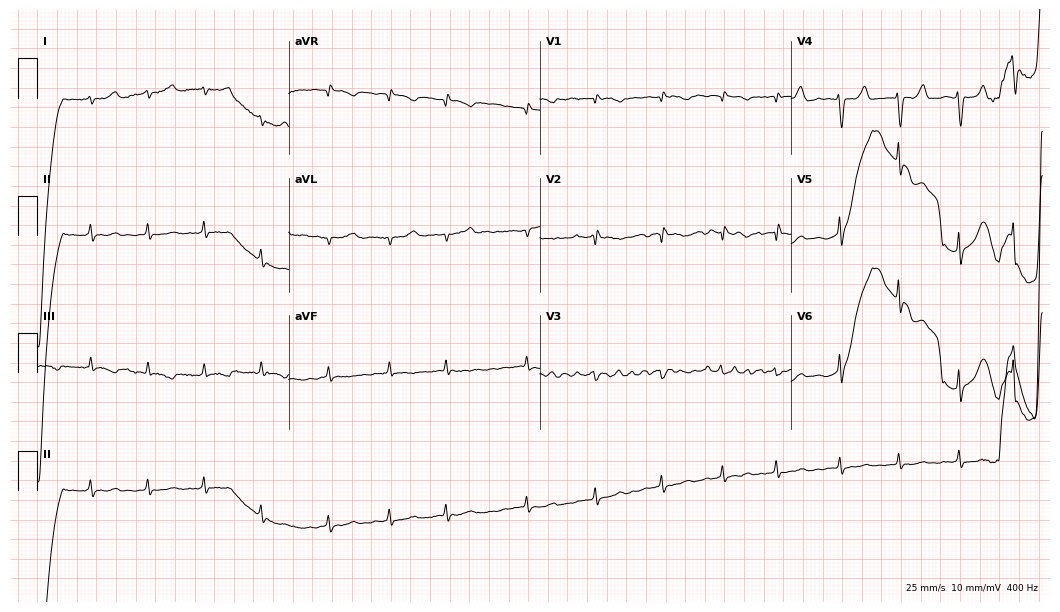
12-lead ECG from an 85-year-old female patient (10.2-second recording at 400 Hz). No first-degree AV block, right bundle branch block (RBBB), left bundle branch block (LBBB), sinus bradycardia, atrial fibrillation (AF) or sinus tachycardia recorded for this tracing. Findings outside these six are not listed.